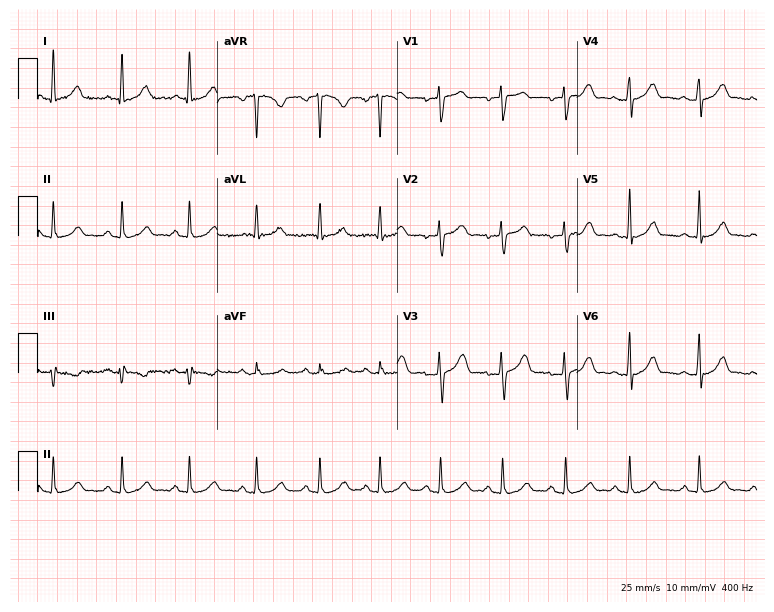
12-lead ECG (7.3-second recording at 400 Hz) from a female, 35 years old. Labelled as a normal ECG.